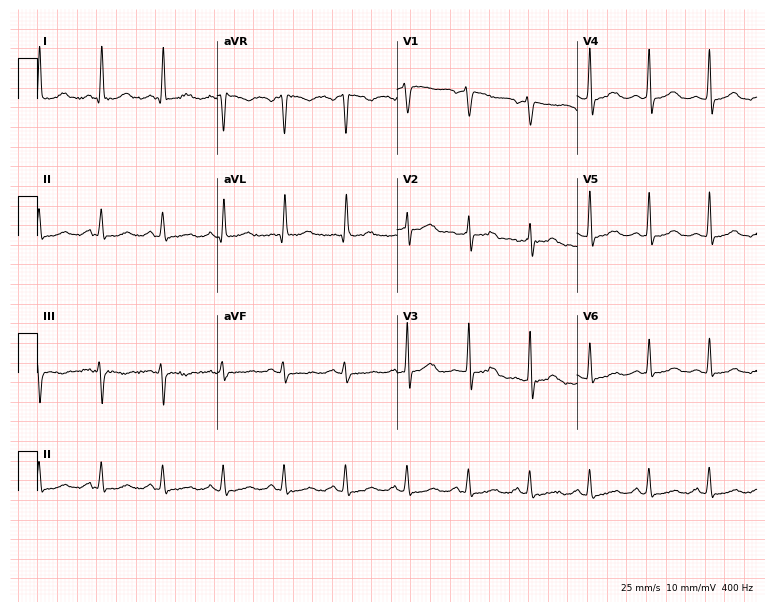
Standard 12-lead ECG recorded from a 47-year-old woman (7.3-second recording at 400 Hz). None of these six findings is recorded: first-degree AV block, right bundle branch block (RBBB), left bundle branch block (LBBB), sinus bradycardia, atrial fibrillation (AF), sinus tachycardia. Other findings, if any, are not listed.